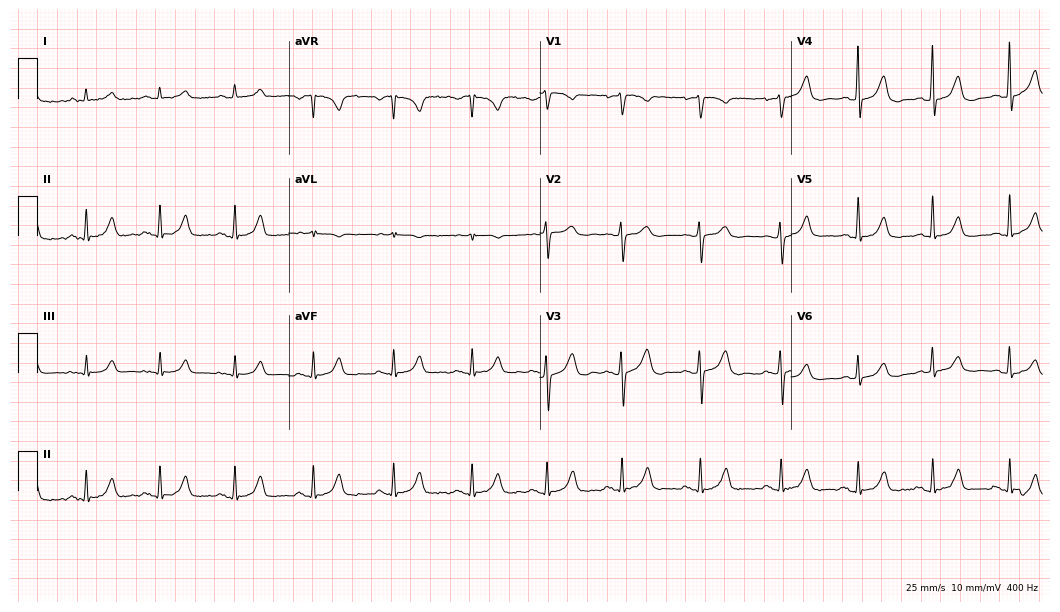
12-lead ECG from a 53-year-old female. Labelled as a normal ECG.